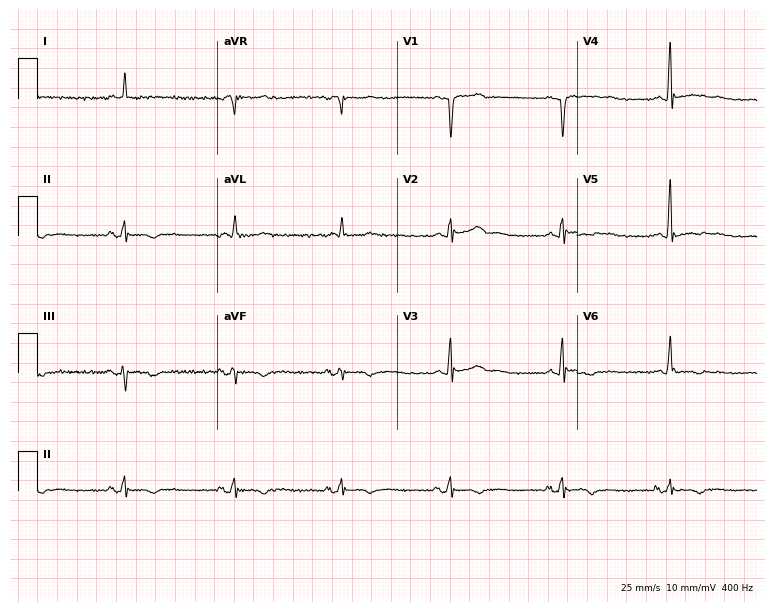
12-lead ECG (7.3-second recording at 400 Hz) from a 78-year-old male patient. Screened for six findings — first-degree AV block, right bundle branch block, left bundle branch block, sinus bradycardia, atrial fibrillation, sinus tachycardia — none is recorded.